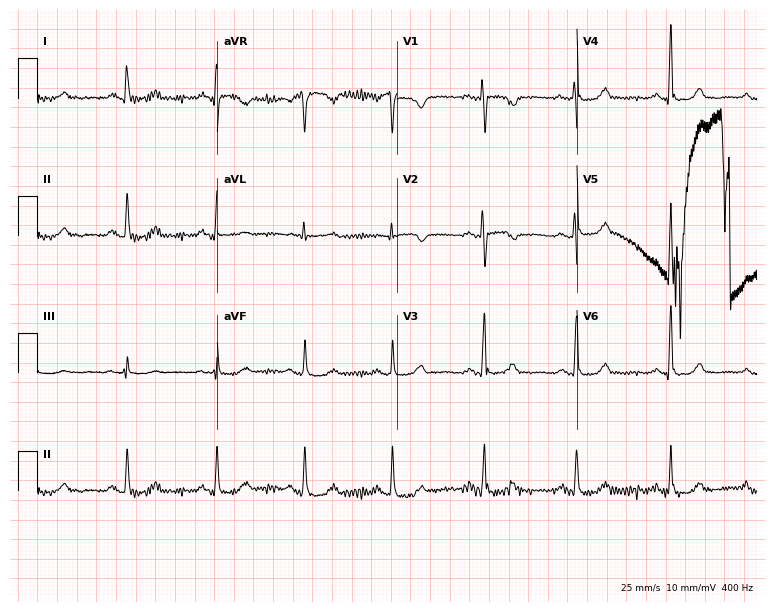
ECG (7.3-second recording at 400 Hz) — a 53-year-old woman. Labelled as a normal ECG.